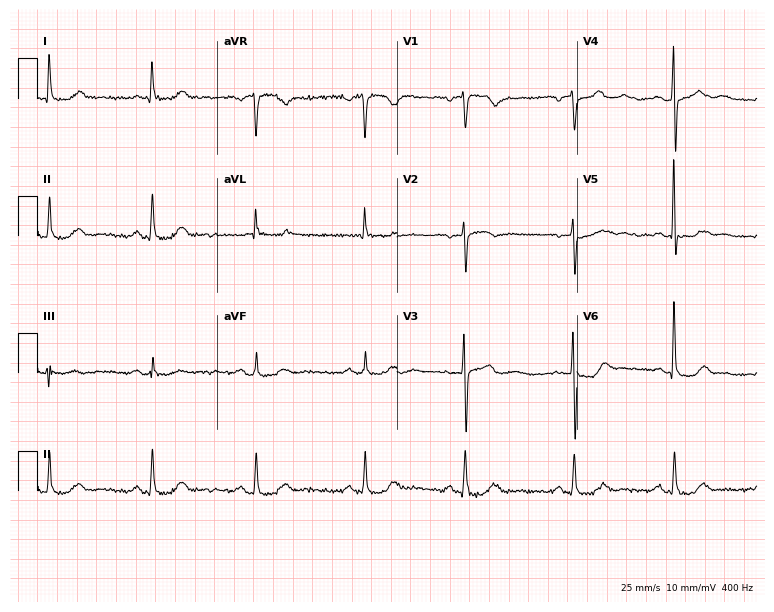
12-lead ECG from an 85-year-old male patient. Labelled as a normal ECG.